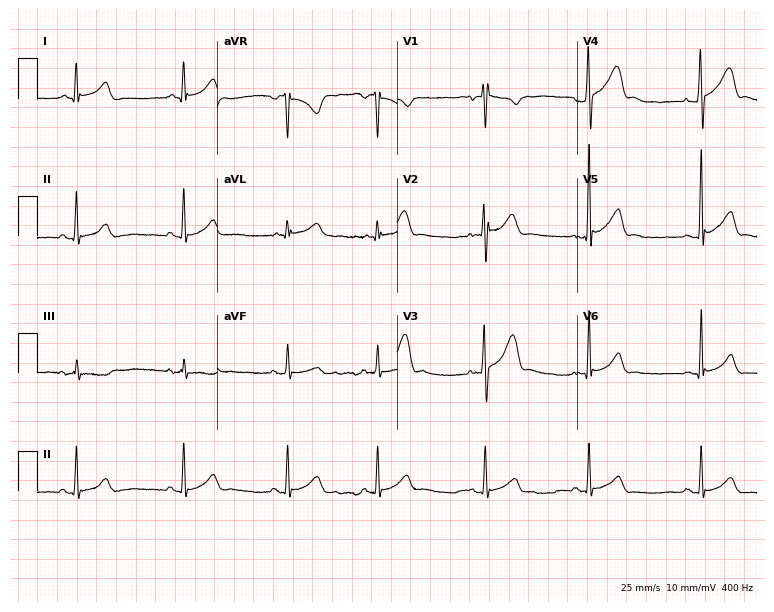
Electrocardiogram, a male patient, 26 years old. Overall reading on record: normal ECG.